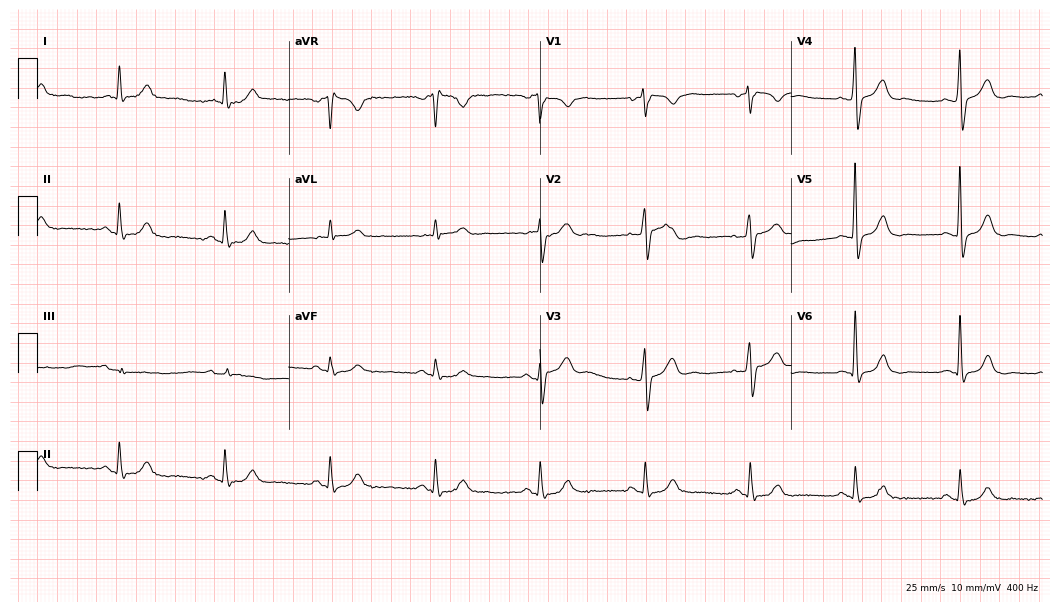
Resting 12-lead electrocardiogram. Patient: a 65-year-old male. None of these six findings is recorded: first-degree AV block, right bundle branch block, left bundle branch block, sinus bradycardia, atrial fibrillation, sinus tachycardia. Only these six findings were labelled.